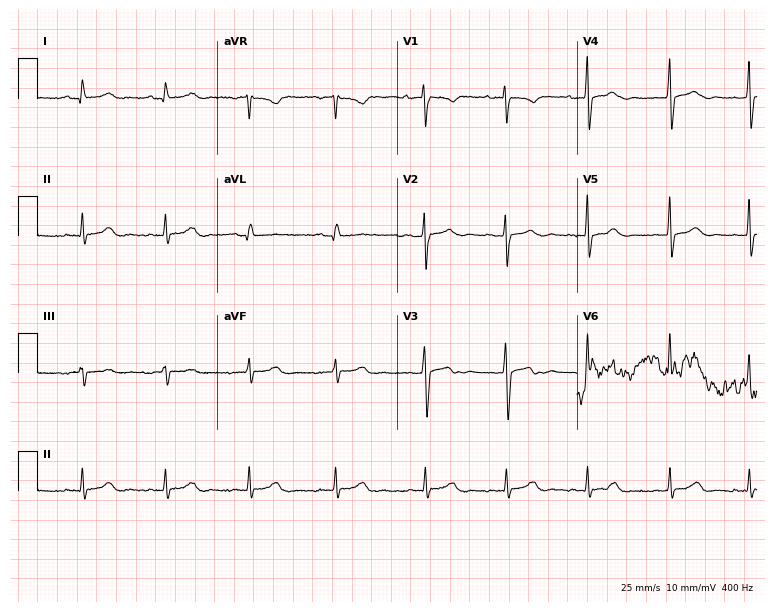
12-lead ECG from a woman, 32 years old (7.3-second recording at 400 Hz). No first-degree AV block, right bundle branch block (RBBB), left bundle branch block (LBBB), sinus bradycardia, atrial fibrillation (AF) or sinus tachycardia recorded for this tracing. Findings outside these six are not listed.